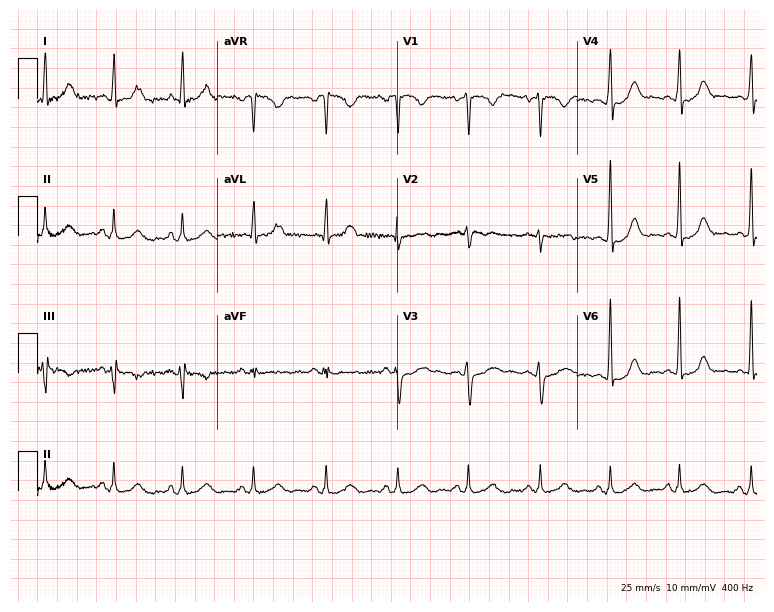
12-lead ECG from a female, 36 years old. Recorded interpretation: within normal limits.